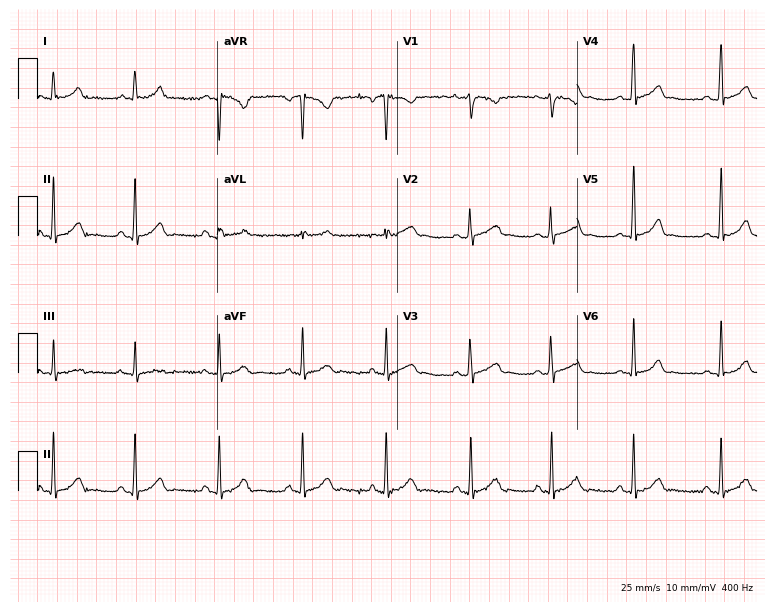
Electrocardiogram, a woman, 25 years old. Of the six screened findings (first-degree AV block, right bundle branch block, left bundle branch block, sinus bradycardia, atrial fibrillation, sinus tachycardia), none is recorded. Other findings, if any, are not listed.